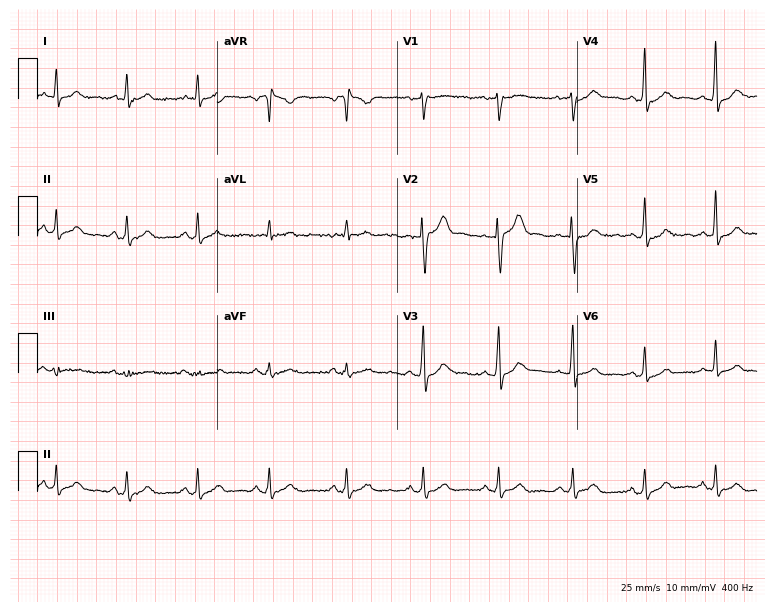
Resting 12-lead electrocardiogram. Patient: a male, 38 years old. None of these six findings is recorded: first-degree AV block, right bundle branch block (RBBB), left bundle branch block (LBBB), sinus bradycardia, atrial fibrillation (AF), sinus tachycardia.